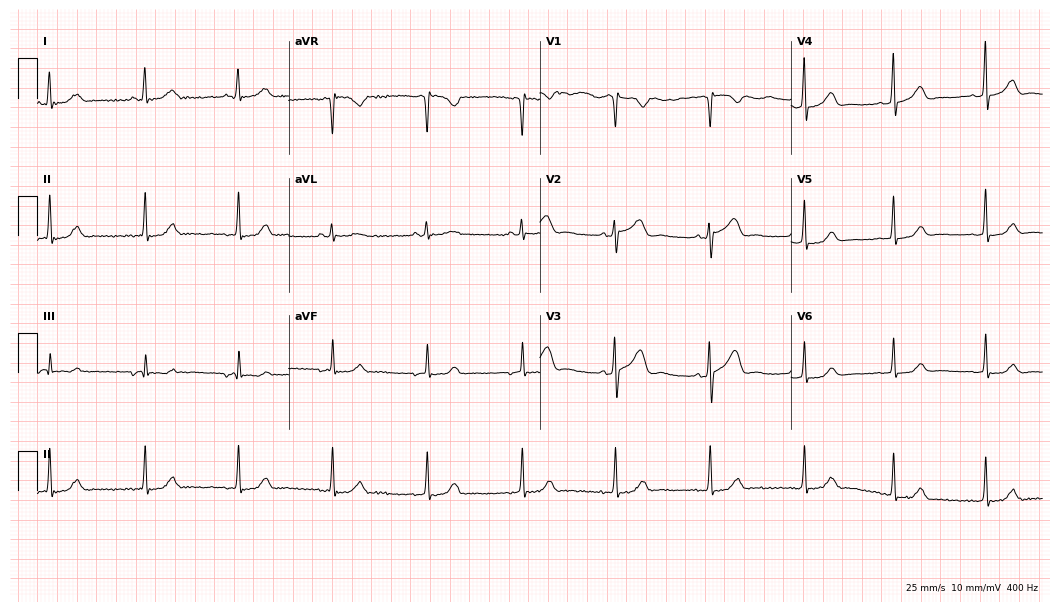
Resting 12-lead electrocardiogram. Patient: a woman, 62 years old. Read as a normal ECG.